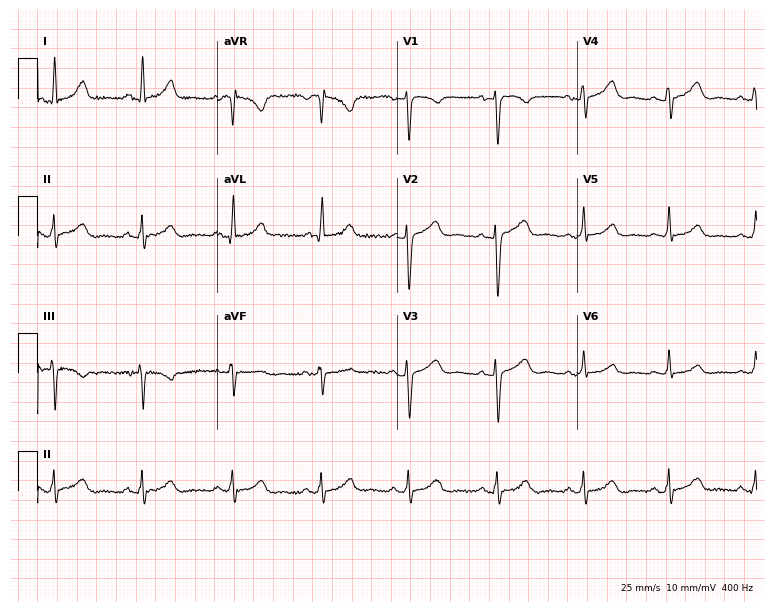
12-lead ECG from a 47-year-old woman. Labelled as a normal ECG.